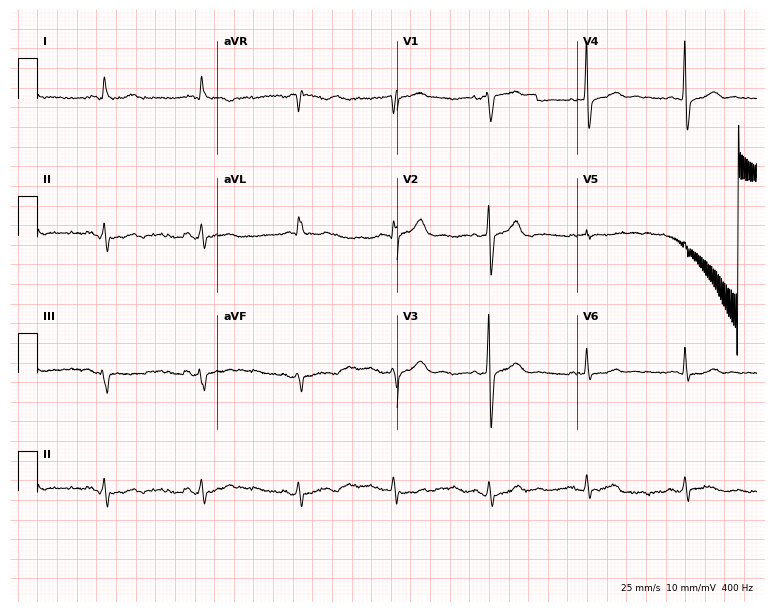
Electrocardiogram, a man, 66 years old. Of the six screened findings (first-degree AV block, right bundle branch block, left bundle branch block, sinus bradycardia, atrial fibrillation, sinus tachycardia), none is recorded. Findings outside these six are not listed.